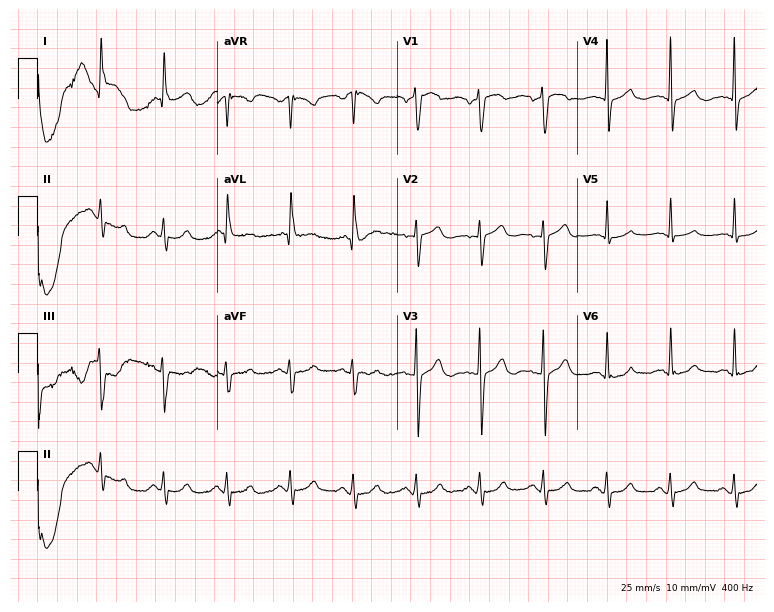
Resting 12-lead electrocardiogram (7.3-second recording at 400 Hz). Patient: a 64-year-old male. None of these six findings is recorded: first-degree AV block, right bundle branch block, left bundle branch block, sinus bradycardia, atrial fibrillation, sinus tachycardia.